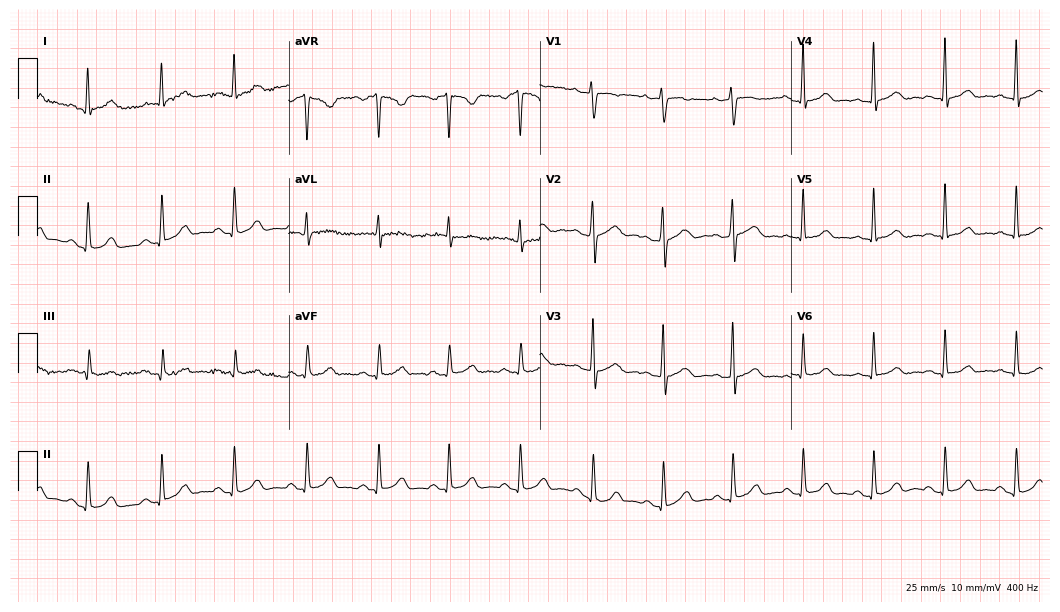
Resting 12-lead electrocardiogram. Patient: a 33-year-old female. None of these six findings is recorded: first-degree AV block, right bundle branch block, left bundle branch block, sinus bradycardia, atrial fibrillation, sinus tachycardia. Only these six findings were labelled.